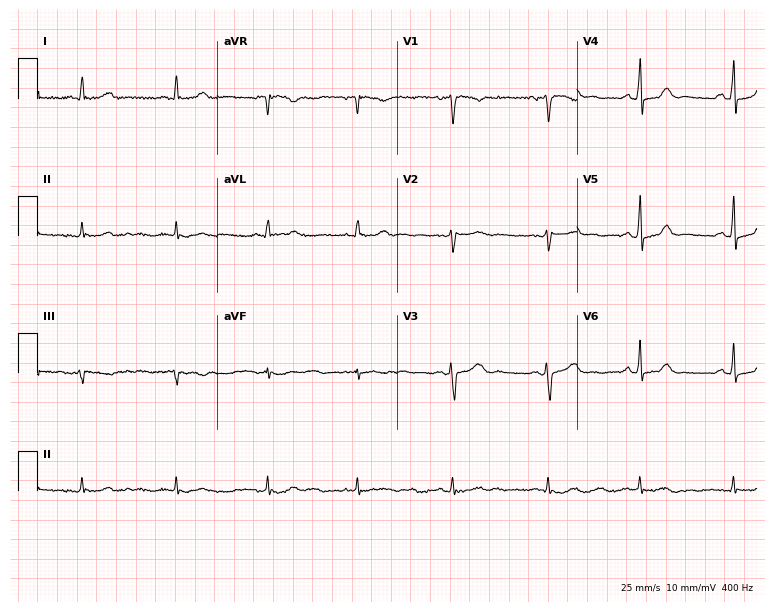
12-lead ECG from a 33-year-old woman. Recorded interpretation: within normal limits.